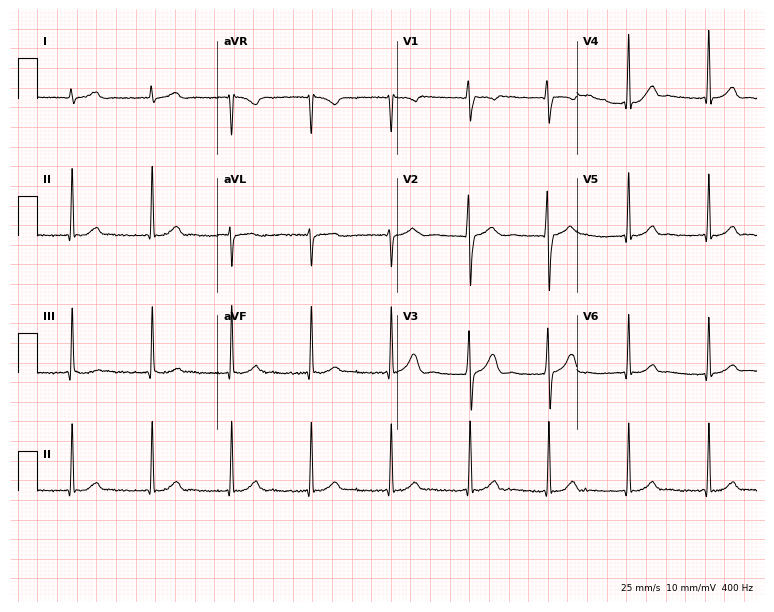
Standard 12-lead ECG recorded from a female, 20 years old (7.3-second recording at 400 Hz). None of these six findings is recorded: first-degree AV block, right bundle branch block, left bundle branch block, sinus bradycardia, atrial fibrillation, sinus tachycardia. Other findings, if any, are not listed.